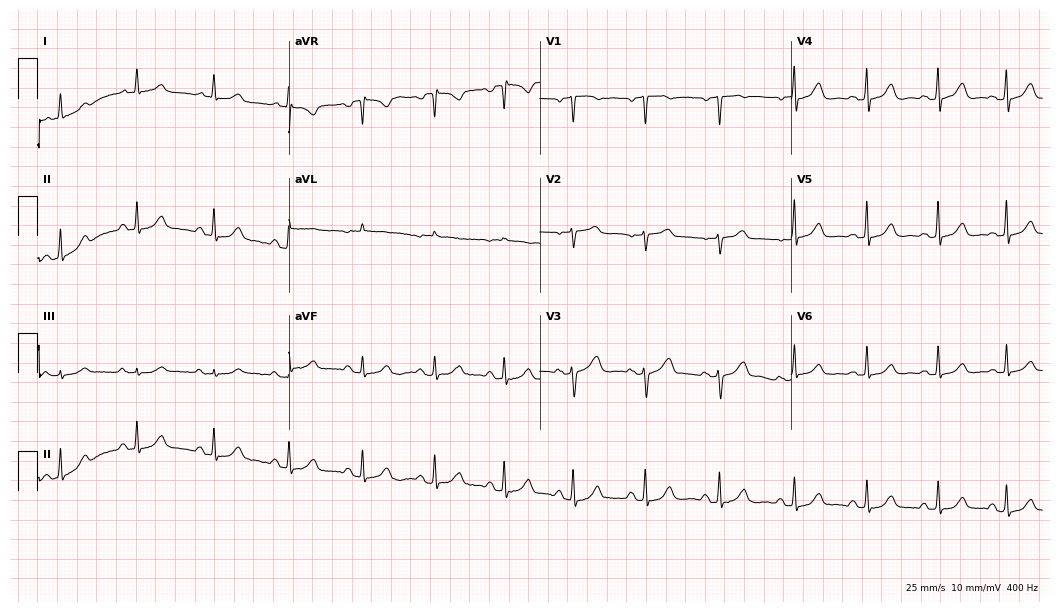
Standard 12-lead ECG recorded from a 57-year-old female patient (10.2-second recording at 400 Hz). Read as a normal ECG.